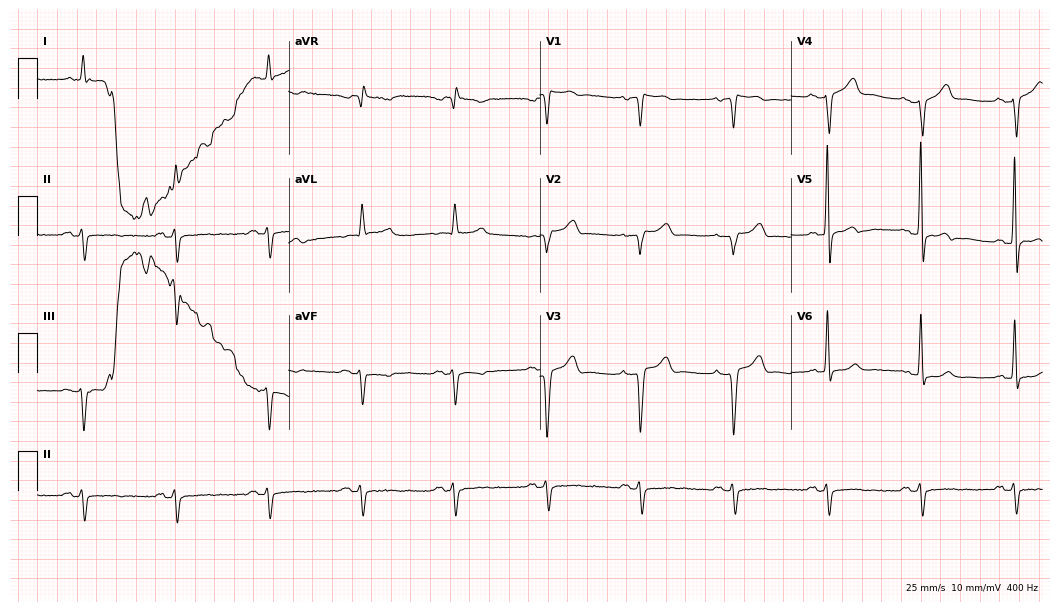
Resting 12-lead electrocardiogram. Patient: a male, 76 years old. None of these six findings is recorded: first-degree AV block, right bundle branch block, left bundle branch block, sinus bradycardia, atrial fibrillation, sinus tachycardia. Only these six findings were labelled.